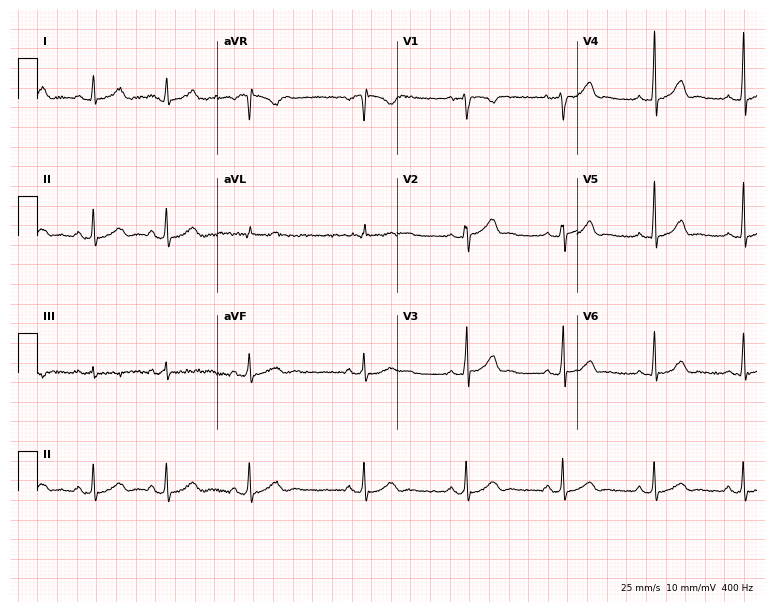
12-lead ECG from a 22-year-old woman. No first-degree AV block, right bundle branch block, left bundle branch block, sinus bradycardia, atrial fibrillation or sinus tachycardia recorded for this tracing.